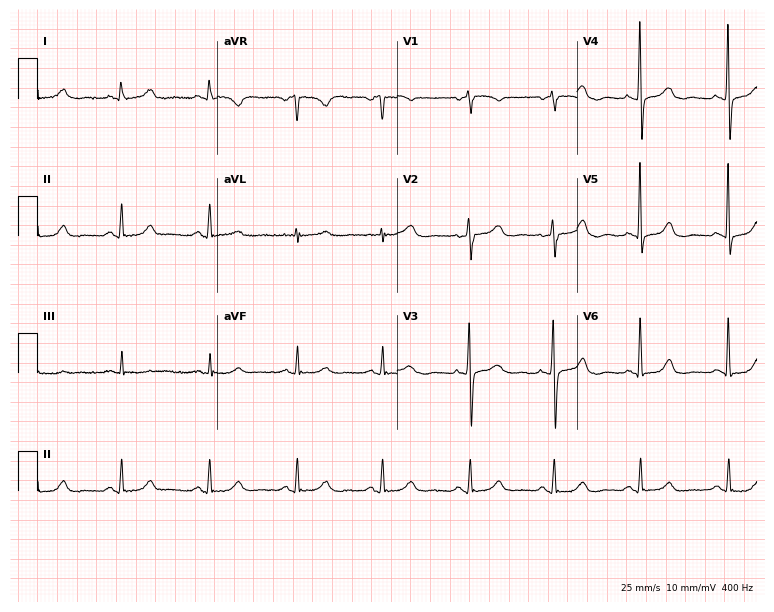
Resting 12-lead electrocardiogram (7.3-second recording at 400 Hz). Patient: a woman, 70 years old. Read as a normal ECG.